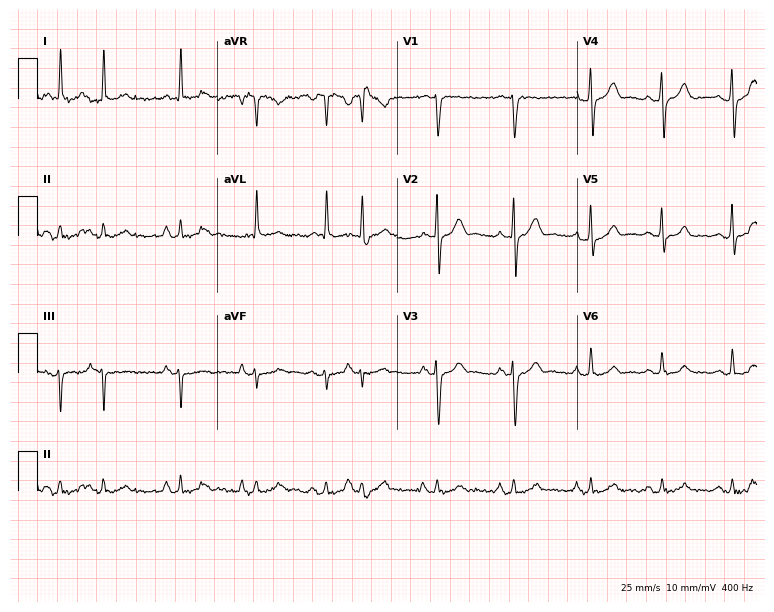
12-lead ECG from a man, 80 years old (7.3-second recording at 400 Hz). No first-degree AV block, right bundle branch block, left bundle branch block, sinus bradycardia, atrial fibrillation or sinus tachycardia recorded for this tracing. Findings outside these six are not listed.